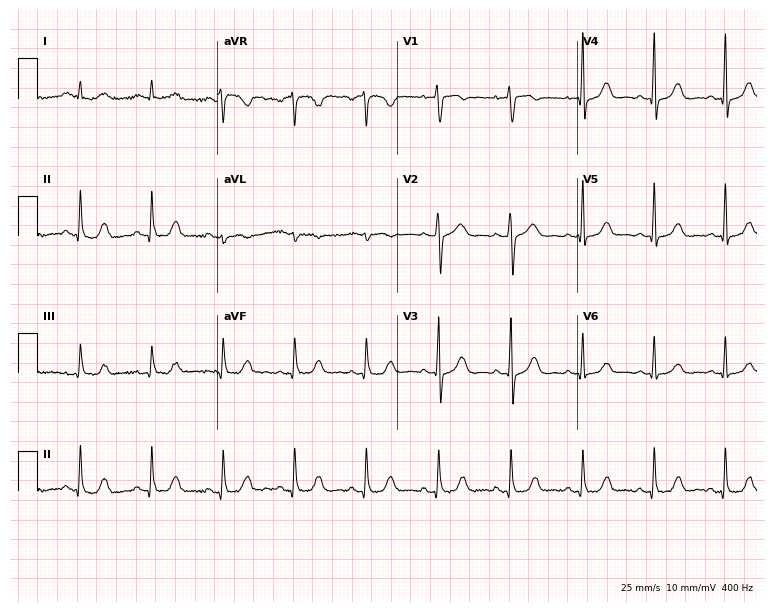
Resting 12-lead electrocardiogram (7.3-second recording at 400 Hz). Patient: a woman, 68 years old. None of these six findings is recorded: first-degree AV block, right bundle branch block, left bundle branch block, sinus bradycardia, atrial fibrillation, sinus tachycardia. Other findings, if any, are not listed.